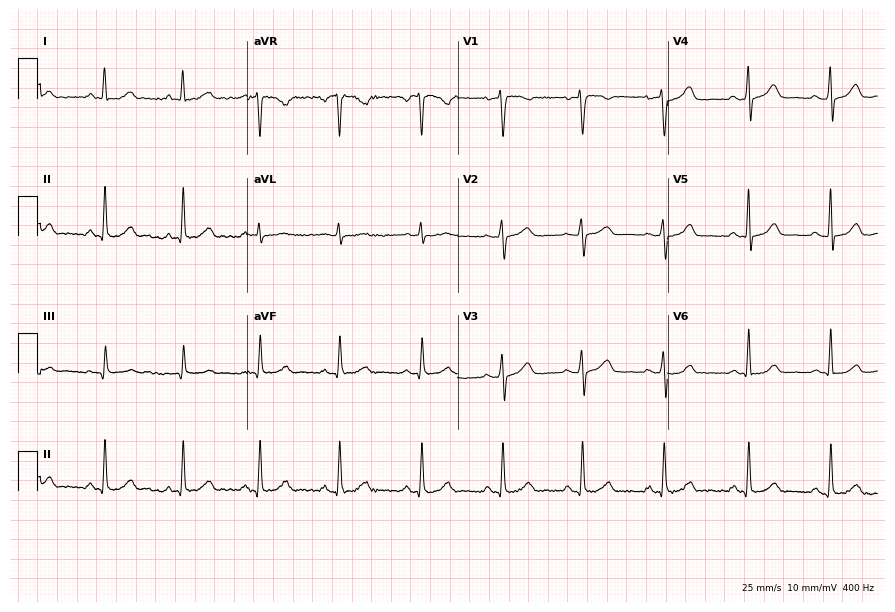
12-lead ECG from a female, 44 years old. Labelled as a normal ECG.